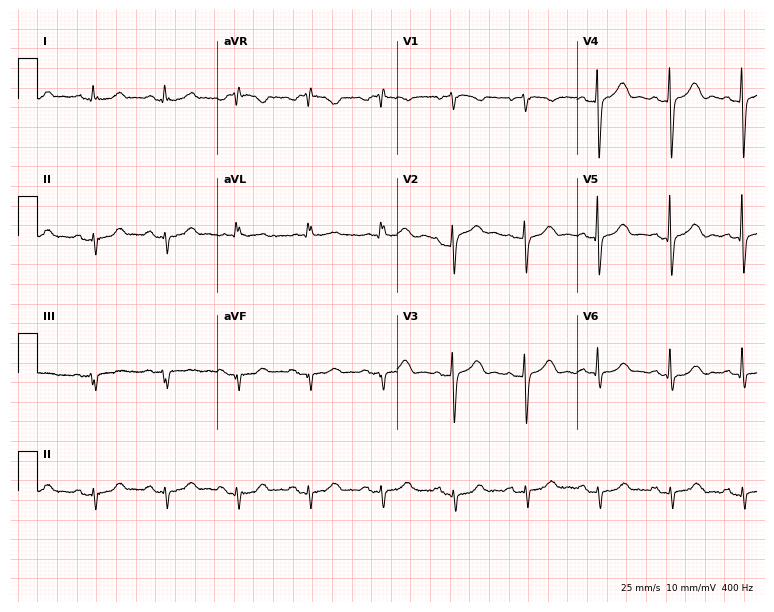
ECG (7.3-second recording at 400 Hz) — a female, 61 years old. Screened for six findings — first-degree AV block, right bundle branch block, left bundle branch block, sinus bradycardia, atrial fibrillation, sinus tachycardia — none is recorded.